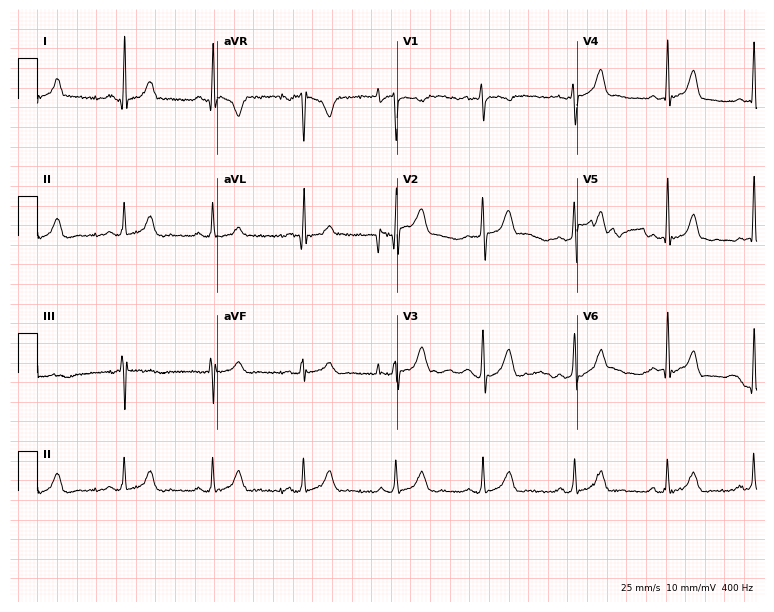
12-lead ECG from a woman, 22 years old (7.3-second recording at 400 Hz). Recorded interpretation: within normal limits.